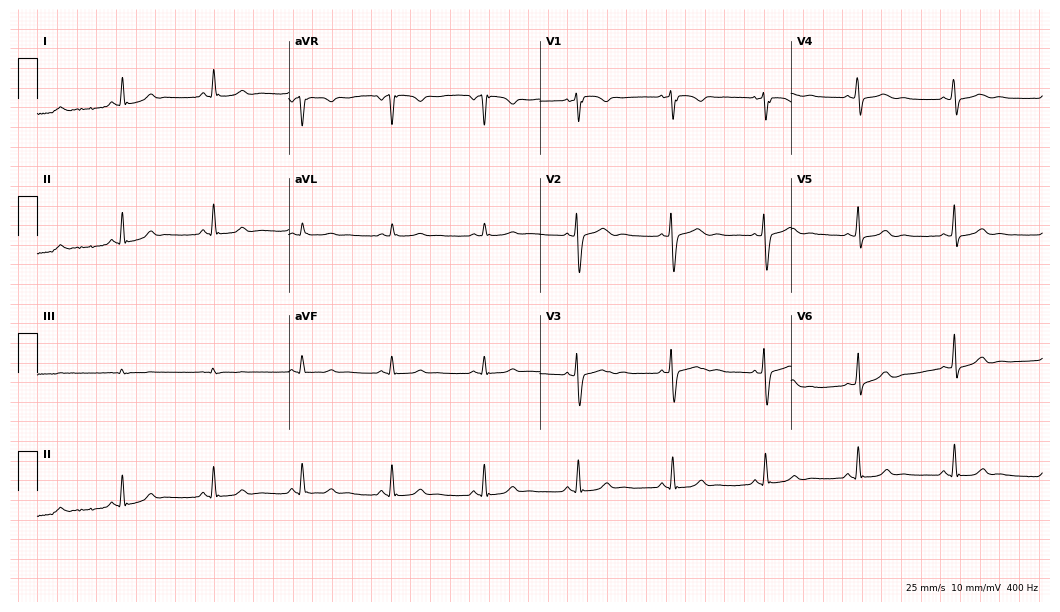
Resting 12-lead electrocardiogram. Patient: a 30-year-old female. None of these six findings is recorded: first-degree AV block, right bundle branch block, left bundle branch block, sinus bradycardia, atrial fibrillation, sinus tachycardia.